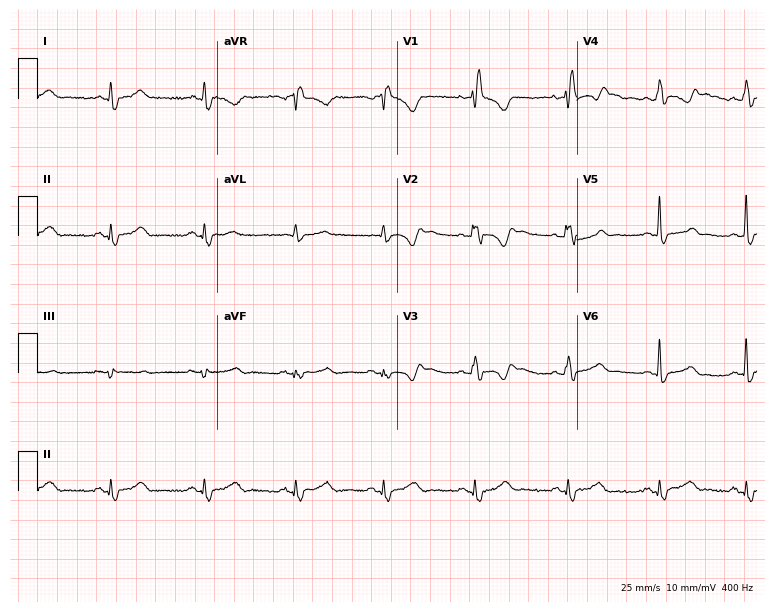
12-lead ECG from a 46-year-old female patient. Shows right bundle branch block.